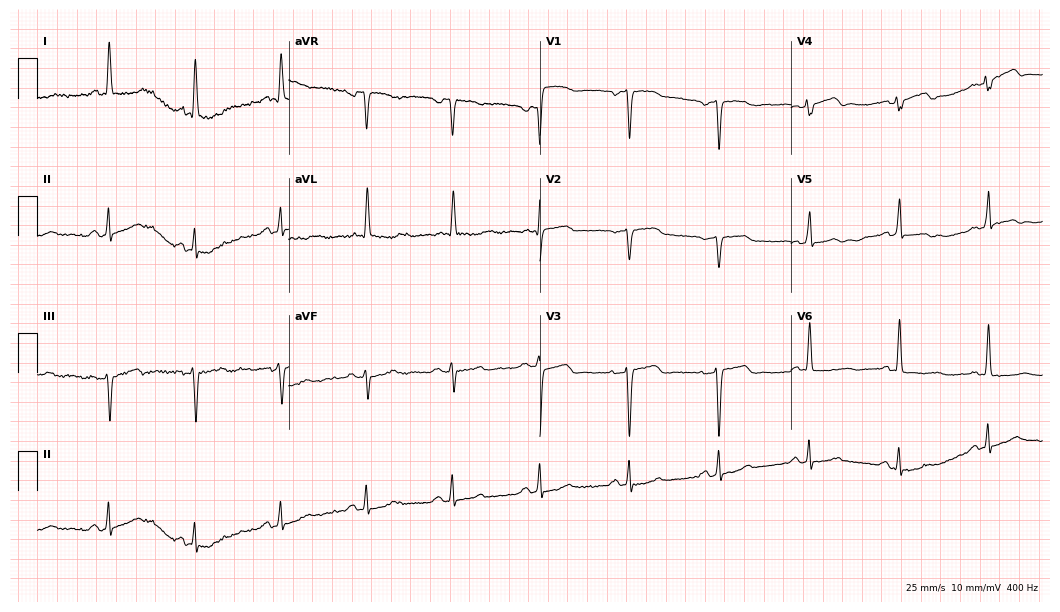
12-lead ECG from a male patient, 81 years old. No first-degree AV block, right bundle branch block, left bundle branch block, sinus bradycardia, atrial fibrillation or sinus tachycardia recorded for this tracing.